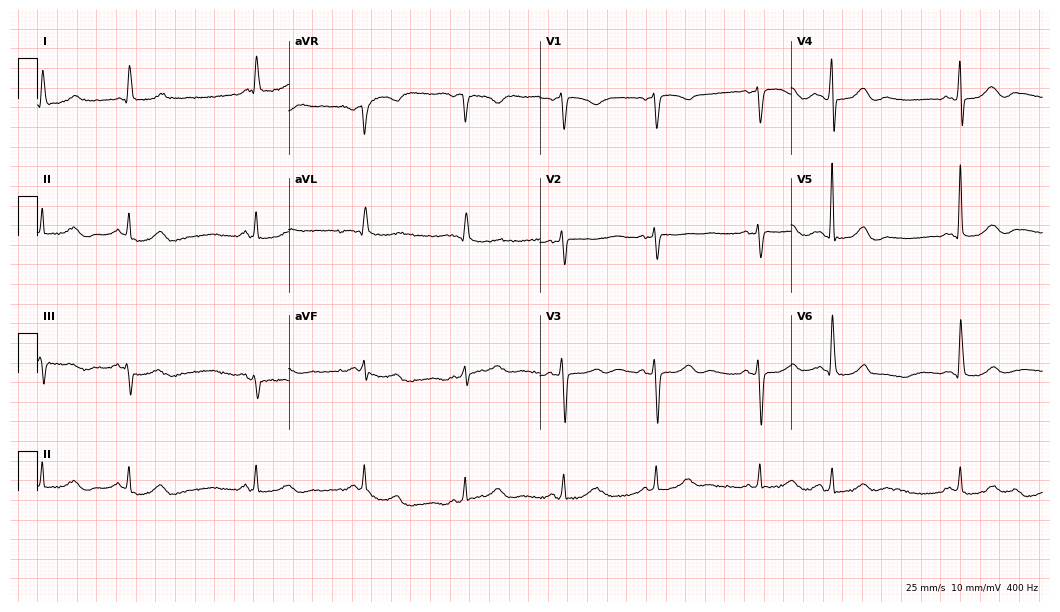
Electrocardiogram, a 70-year-old female patient. Of the six screened findings (first-degree AV block, right bundle branch block, left bundle branch block, sinus bradycardia, atrial fibrillation, sinus tachycardia), none is recorded. Only these six findings were labelled.